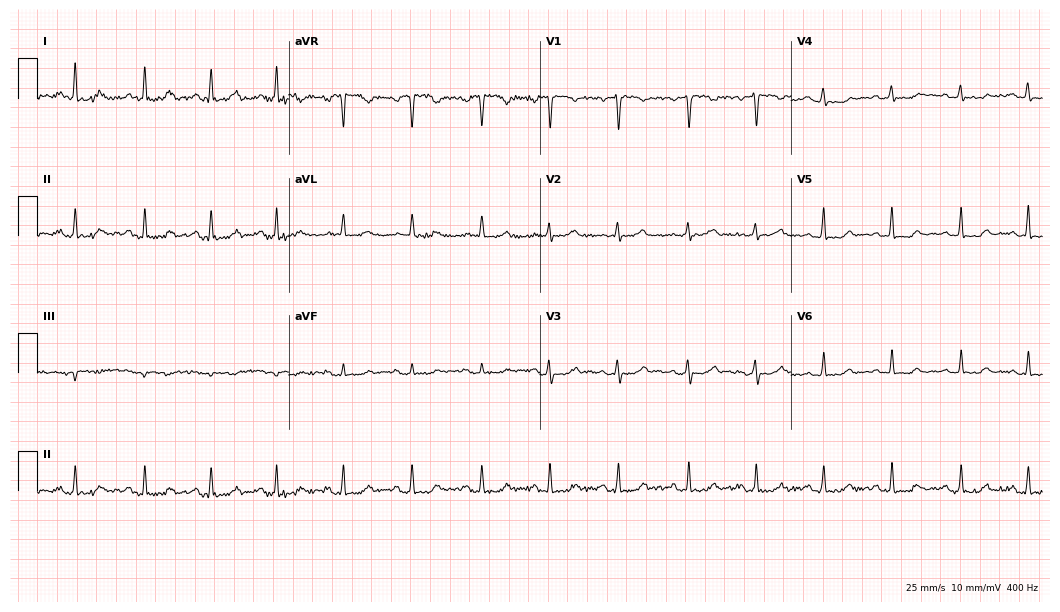
12-lead ECG (10.2-second recording at 400 Hz) from a 44-year-old woman. Labelled as a normal ECG.